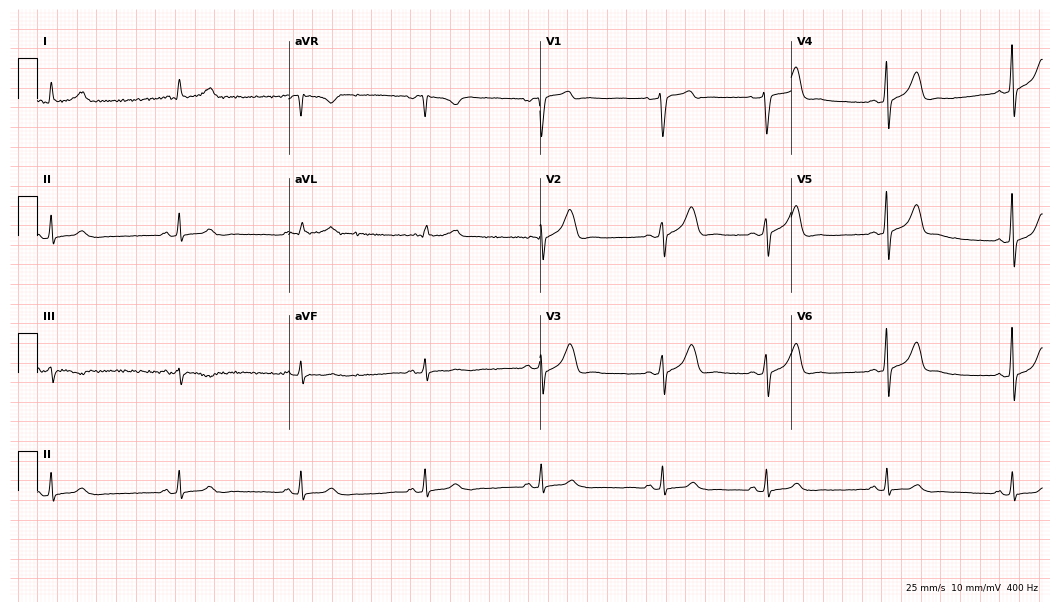
Electrocardiogram (10.2-second recording at 400 Hz), a 62-year-old male patient. Interpretation includes sinus bradycardia (a sinus rate of 50 beats per minute or less).